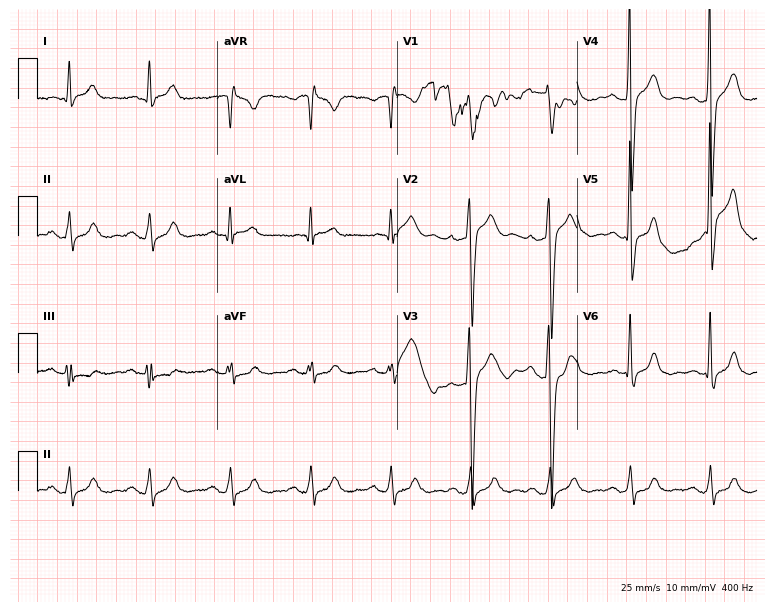
Electrocardiogram, a 72-year-old male patient. Of the six screened findings (first-degree AV block, right bundle branch block, left bundle branch block, sinus bradycardia, atrial fibrillation, sinus tachycardia), none is recorded.